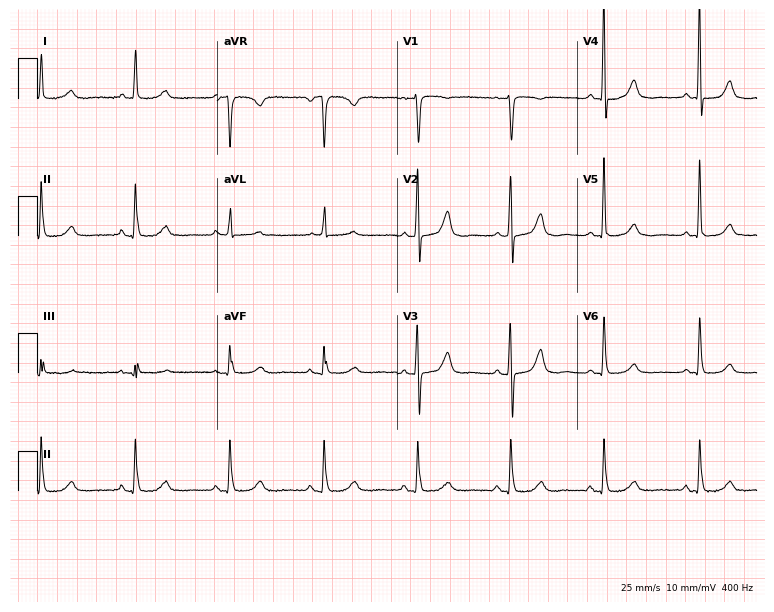
Electrocardiogram (7.3-second recording at 400 Hz), a 71-year-old woman. Of the six screened findings (first-degree AV block, right bundle branch block (RBBB), left bundle branch block (LBBB), sinus bradycardia, atrial fibrillation (AF), sinus tachycardia), none is recorded. Other findings, if any, are not listed.